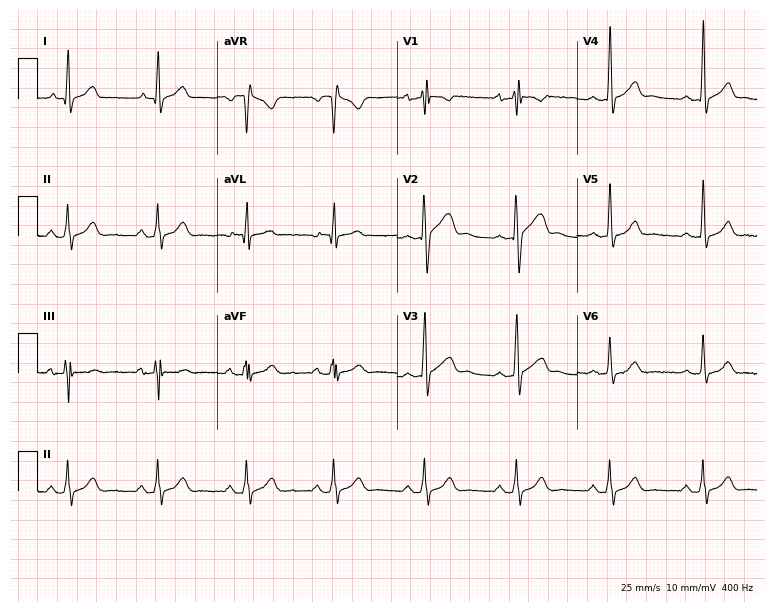
Resting 12-lead electrocardiogram (7.3-second recording at 400 Hz). Patient: a male, 26 years old. None of these six findings is recorded: first-degree AV block, right bundle branch block, left bundle branch block, sinus bradycardia, atrial fibrillation, sinus tachycardia.